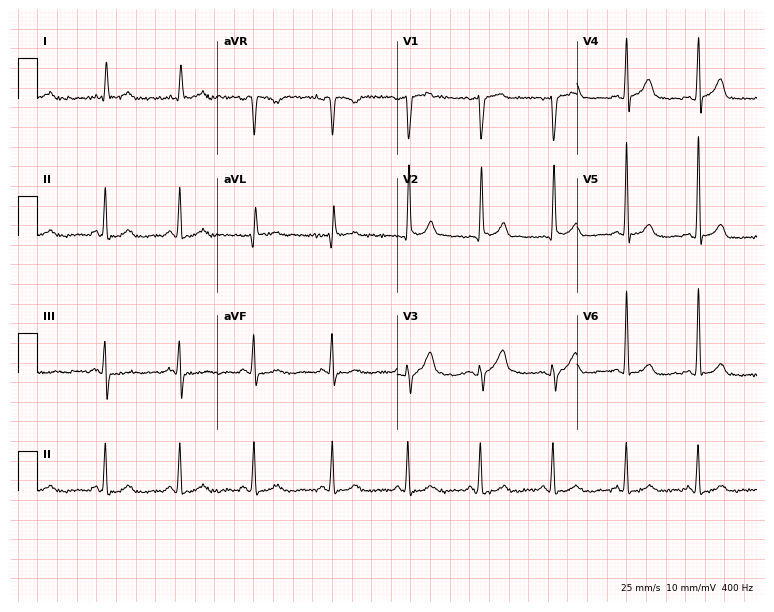
Resting 12-lead electrocardiogram. Patient: a man, 59 years old. Read as a normal ECG.